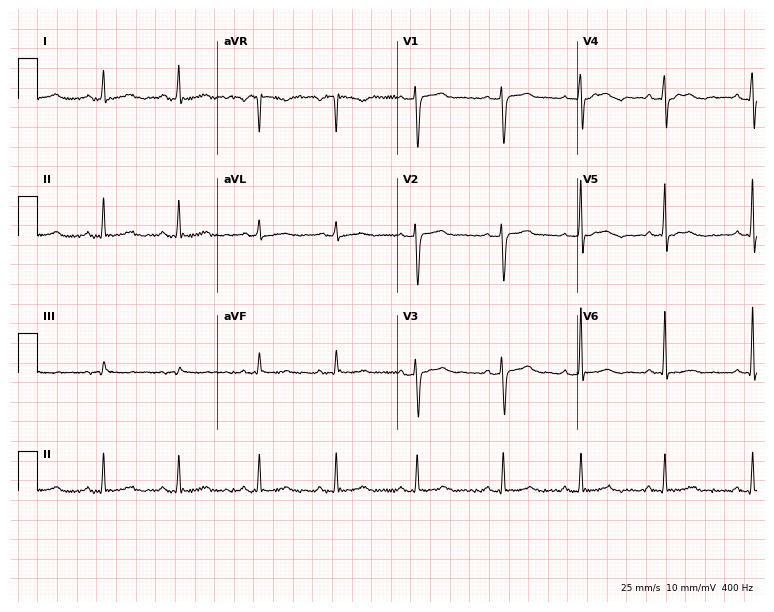
Resting 12-lead electrocardiogram (7.3-second recording at 400 Hz). Patient: a 31-year-old female. None of these six findings is recorded: first-degree AV block, right bundle branch block, left bundle branch block, sinus bradycardia, atrial fibrillation, sinus tachycardia. Only these six findings were labelled.